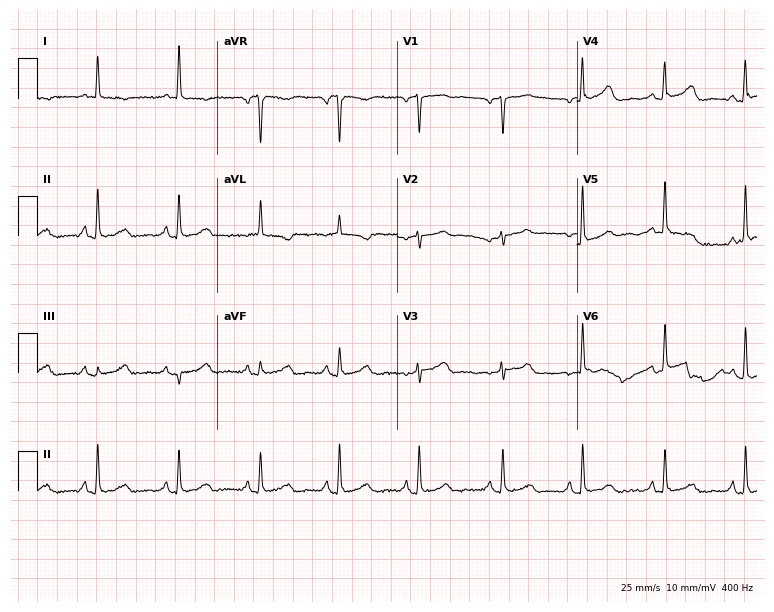
12-lead ECG from a 56-year-old female patient. No first-degree AV block, right bundle branch block, left bundle branch block, sinus bradycardia, atrial fibrillation or sinus tachycardia recorded for this tracing. Findings outside these six are not listed.